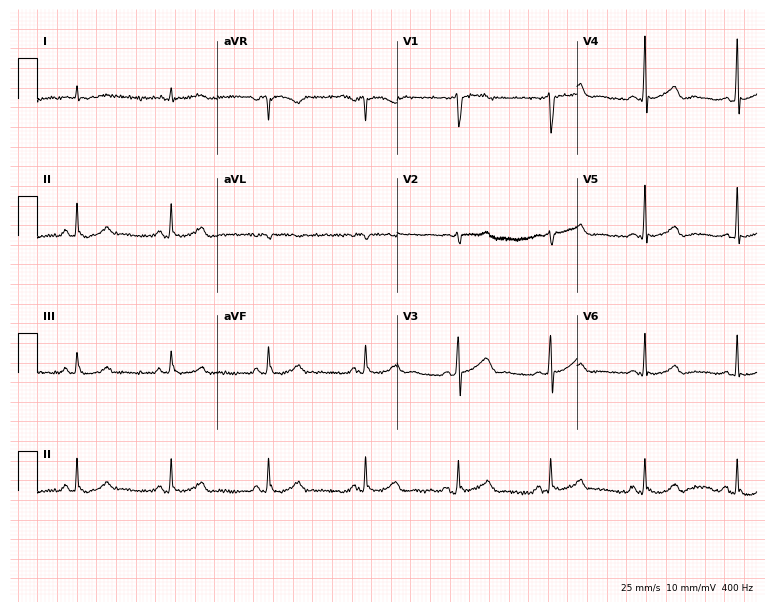
12-lead ECG from a 51-year-old man. Labelled as a normal ECG.